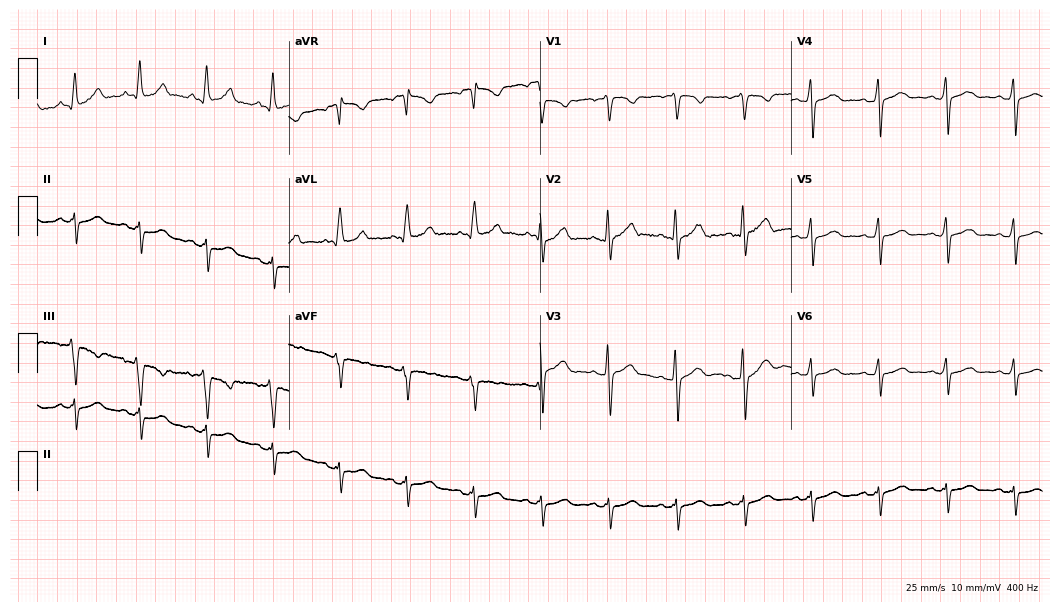
Standard 12-lead ECG recorded from a 67-year-old woman (10.2-second recording at 400 Hz). None of these six findings is recorded: first-degree AV block, right bundle branch block, left bundle branch block, sinus bradycardia, atrial fibrillation, sinus tachycardia. Only these six findings were labelled.